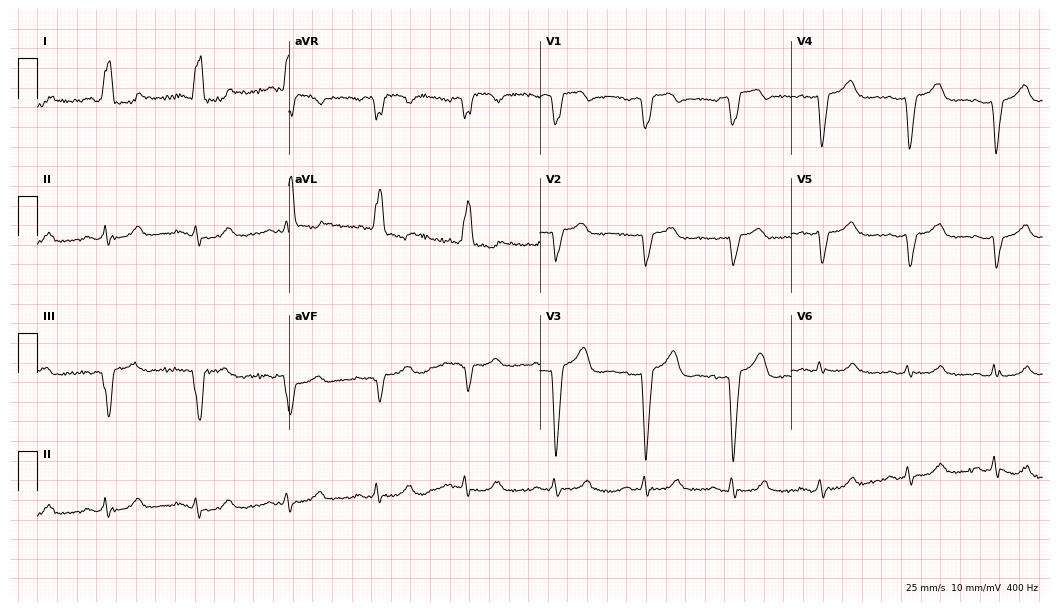
12-lead ECG (10.2-second recording at 400 Hz) from a 69-year-old female patient. Screened for six findings — first-degree AV block, right bundle branch block, left bundle branch block, sinus bradycardia, atrial fibrillation, sinus tachycardia — none is recorded. Findings outside these six are not listed.